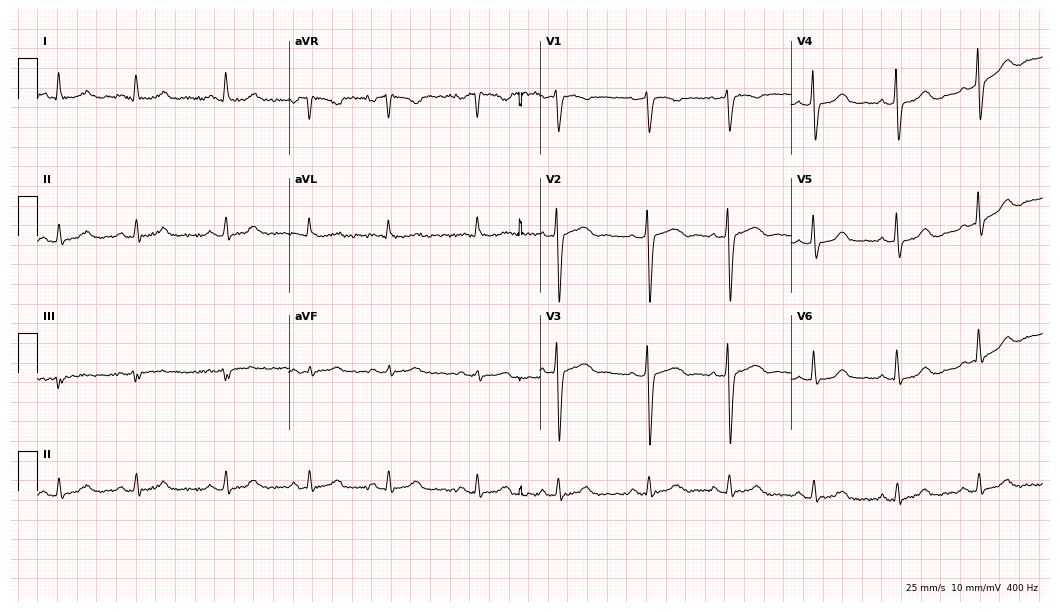
Electrocardiogram (10.2-second recording at 400 Hz), a female, 43 years old. Overall reading on record: normal ECG.